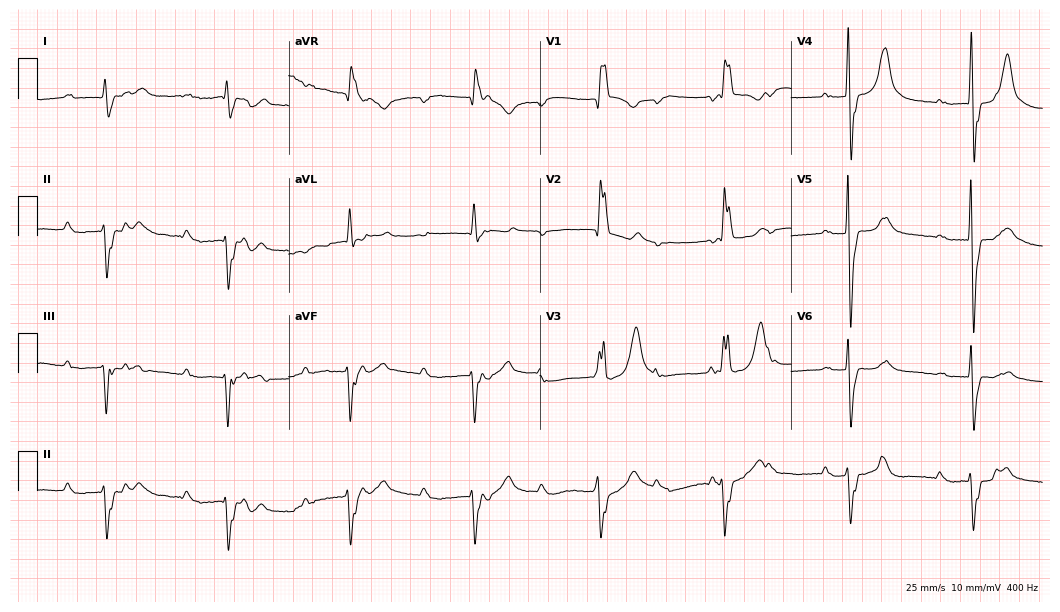
Standard 12-lead ECG recorded from a male, 82 years old. The tracing shows first-degree AV block, right bundle branch block.